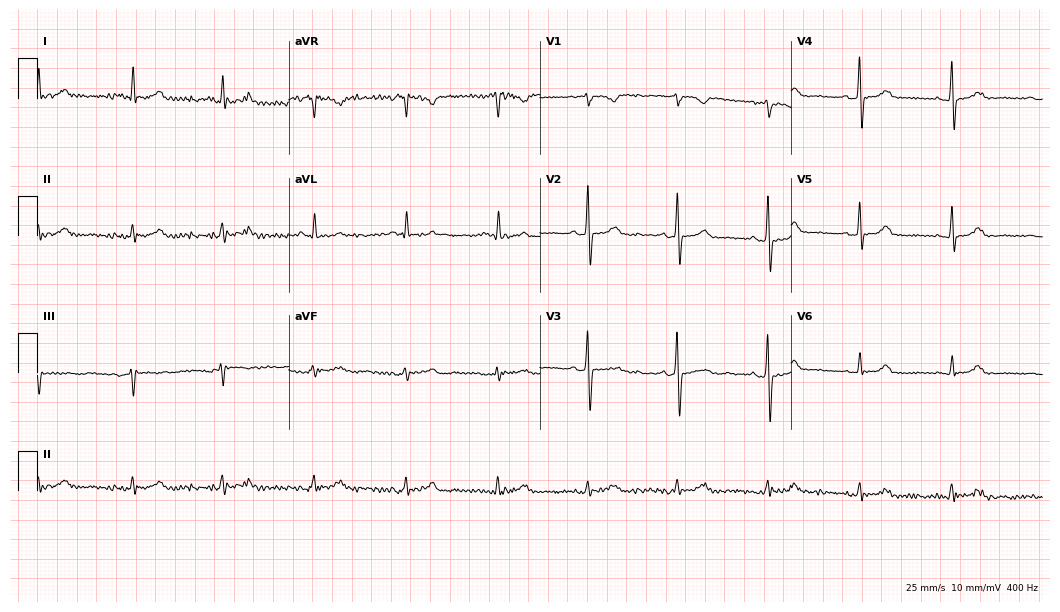
12-lead ECG from a 63-year-old female. Recorded interpretation: within normal limits.